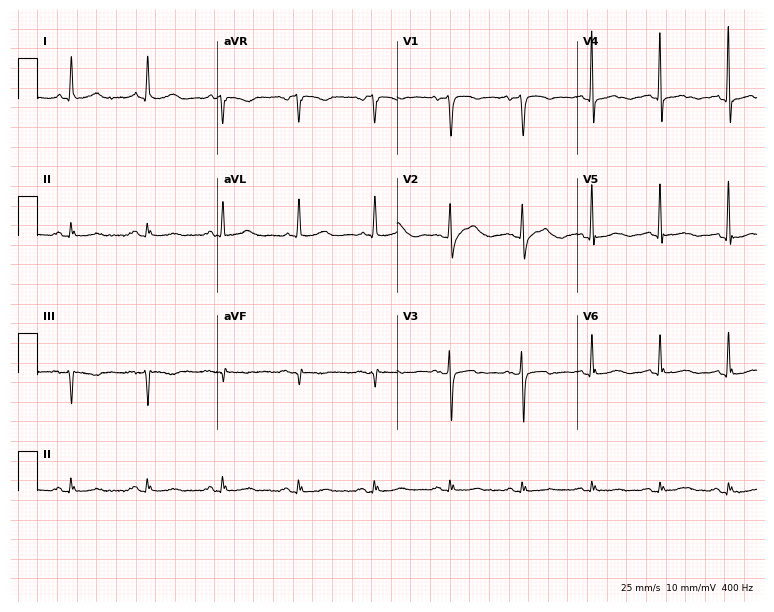
12-lead ECG from a 75-year-old female (7.3-second recording at 400 Hz). No first-degree AV block, right bundle branch block, left bundle branch block, sinus bradycardia, atrial fibrillation or sinus tachycardia recorded for this tracing.